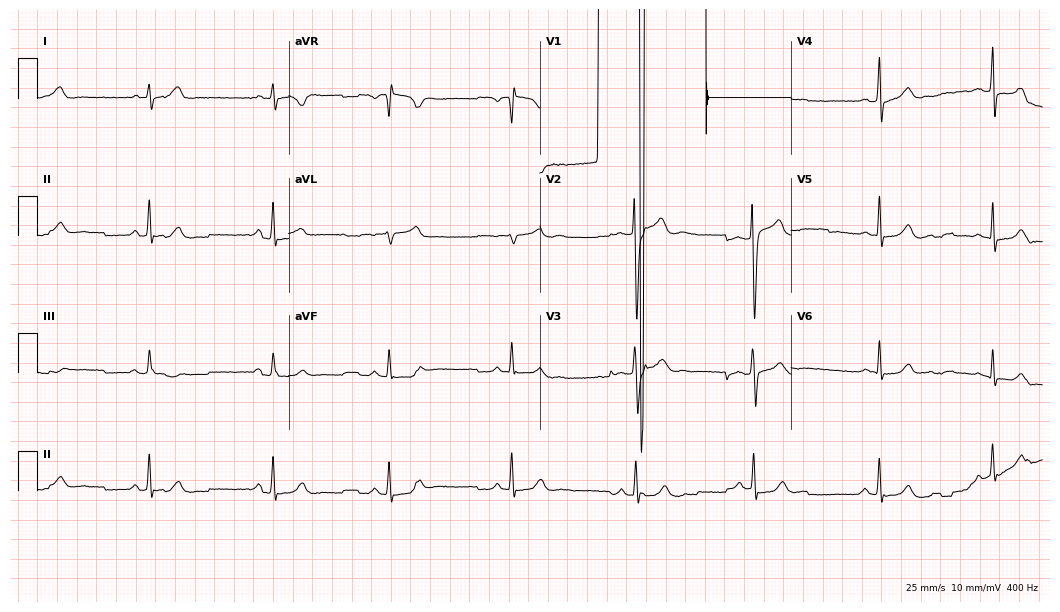
12-lead ECG from a 22-year-old male patient. Labelled as a normal ECG.